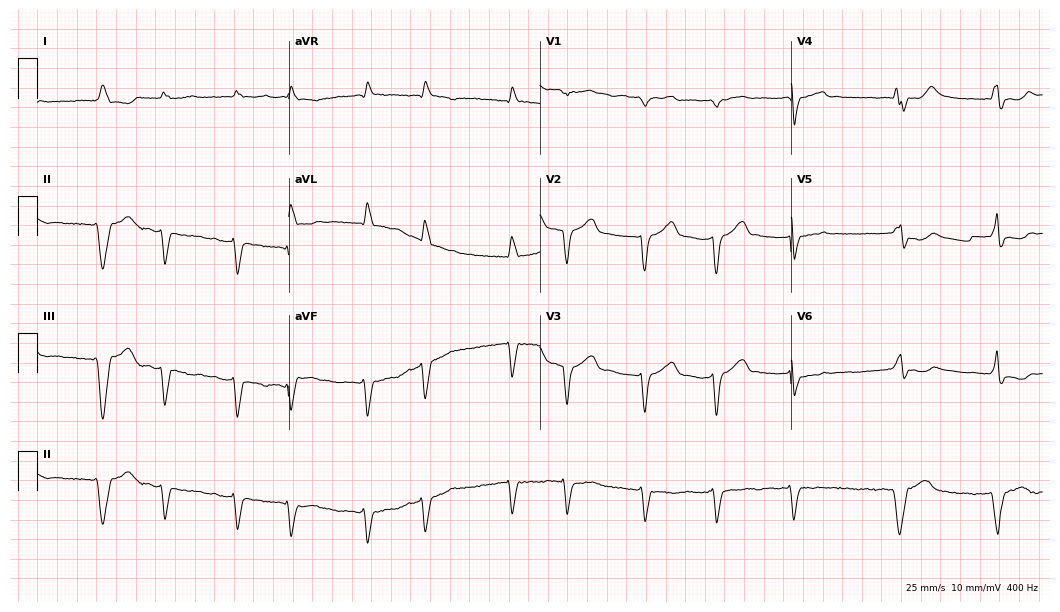
Standard 12-lead ECG recorded from a male patient, 84 years old (10.2-second recording at 400 Hz). The tracing shows left bundle branch block (LBBB), atrial fibrillation (AF).